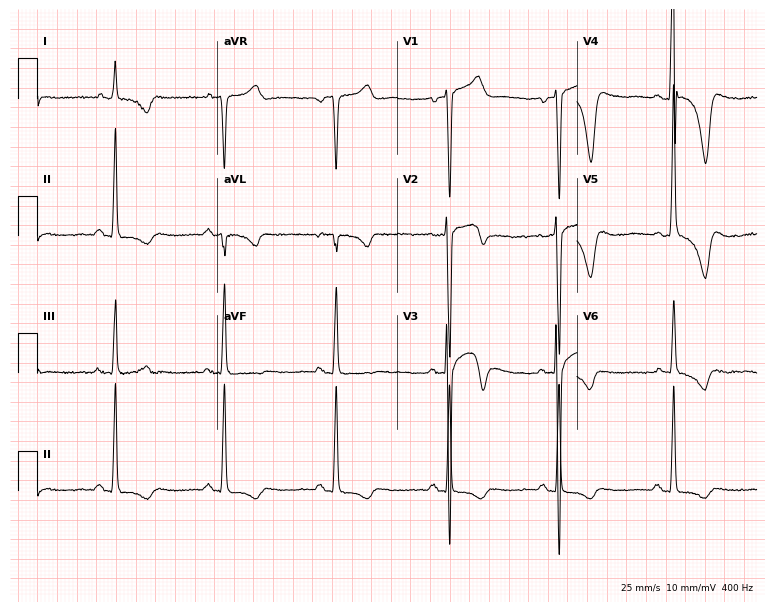
Standard 12-lead ECG recorded from a 48-year-old man. None of these six findings is recorded: first-degree AV block, right bundle branch block (RBBB), left bundle branch block (LBBB), sinus bradycardia, atrial fibrillation (AF), sinus tachycardia.